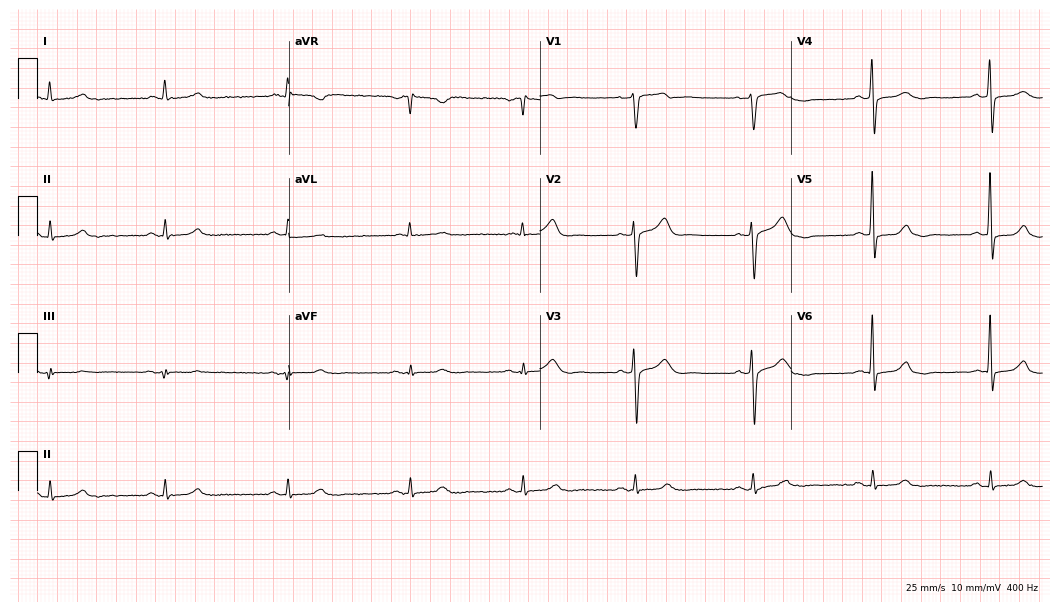
Standard 12-lead ECG recorded from a 55-year-old man (10.2-second recording at 400 Hz). Read as a normal ECG.